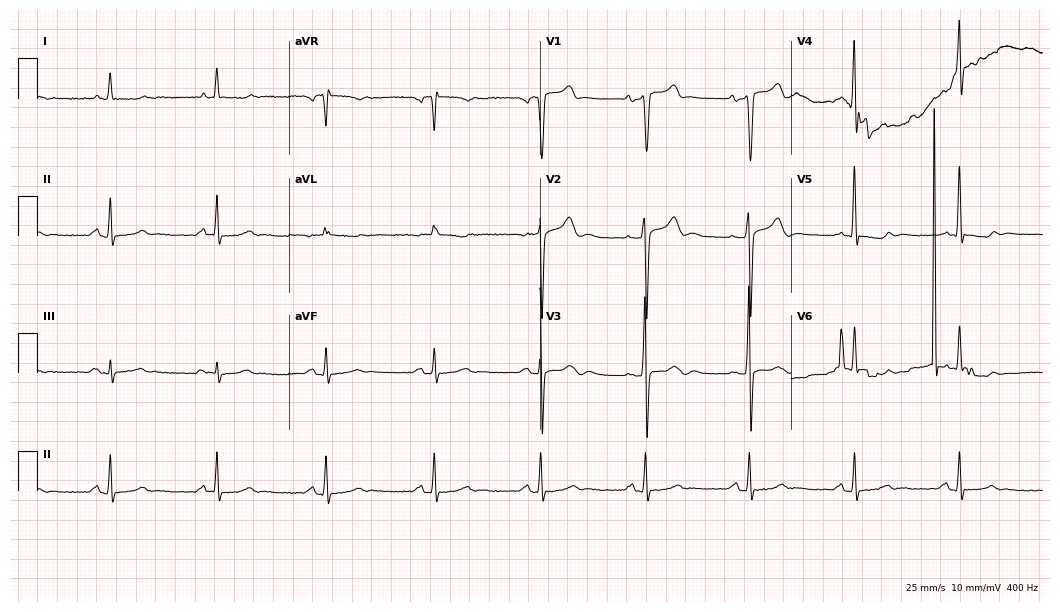
ECG — a man, 70 years old. Screened for six findings — first-degree AV block, right bundle branch block (RBBB), left bundle branch block (LBBB), sinus bradycardia, atrial fibrillation (AF), sinus tachycardia — none is recorded.